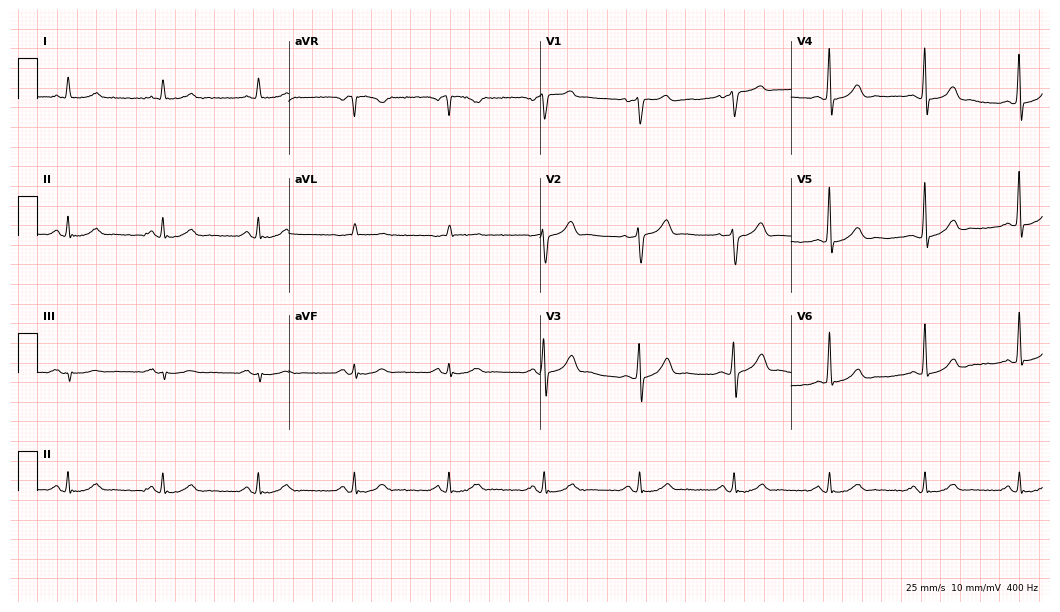
12-lead ECG (10.2-second recording at 400 Hz) from a 76-year-old male patient. Labelled as a normal ECG.